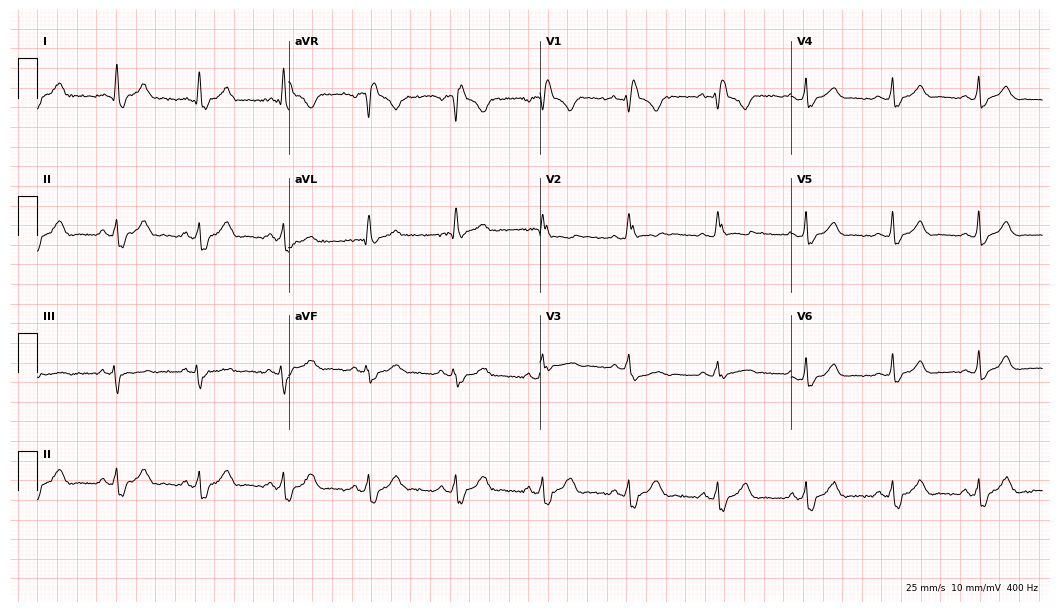
12-lead ECG (10.2-second recording at 400 Hz) from a 44-year-old female patient. Findings include right bundle branch block (RBBB).